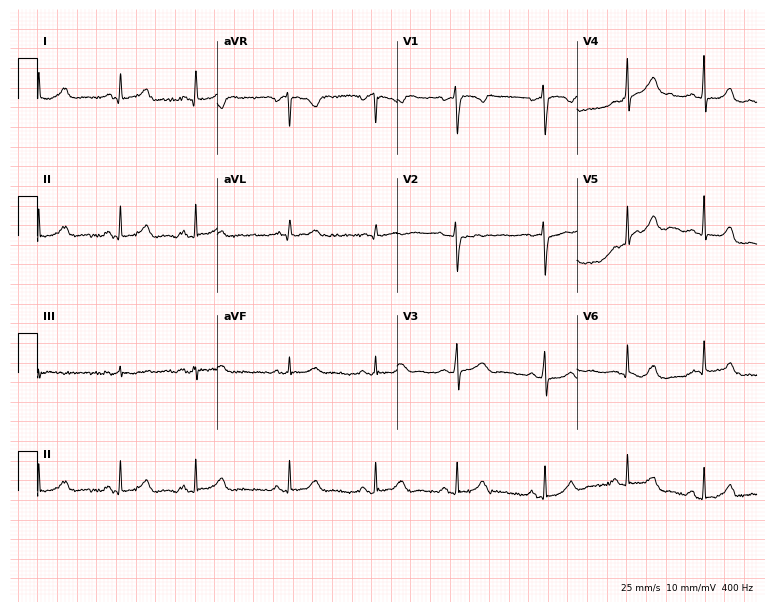
12-lead ECG from a 22-year-old female. Recorded interpretation: within normal limits.